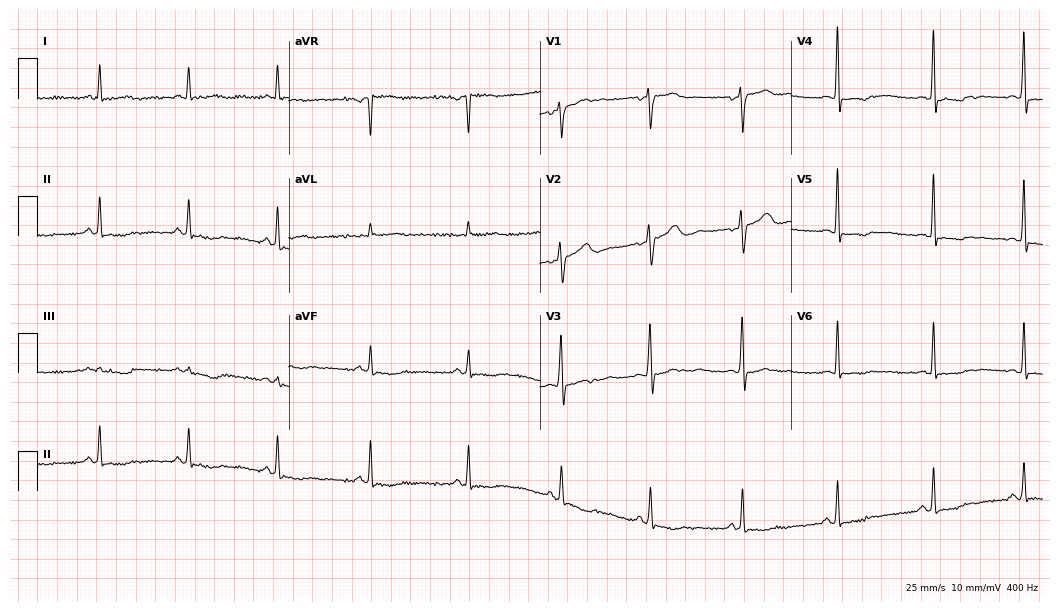
Electrocardiogram (10.2-second recording at 400 Hz), a 55-year-old woman. Of the six screened findings (first-degree AV block, right bundle branch block, left bundle branch block, sinus bradycardia, atrial fibrillation, sinus tachycardia), none is recorded.